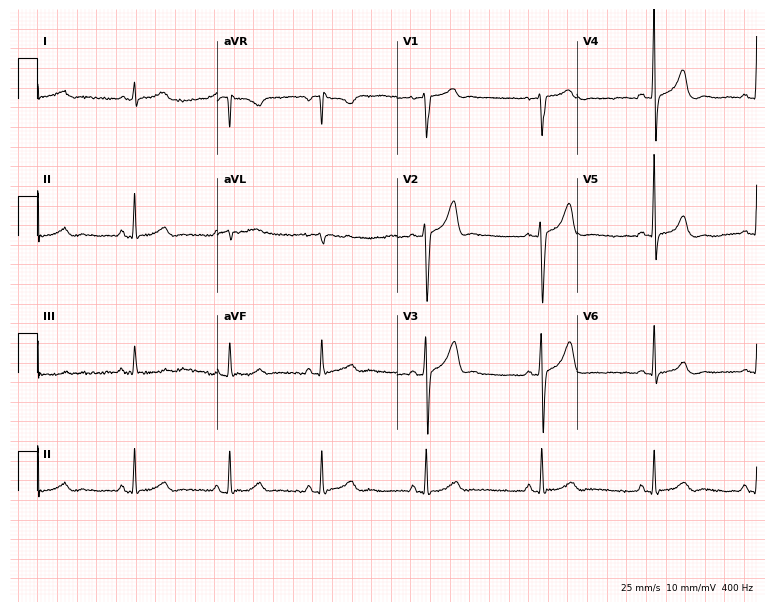
Resting 12-lead electrocardiogram. Patient: a male, 50 years old. Read as a normal ECG.